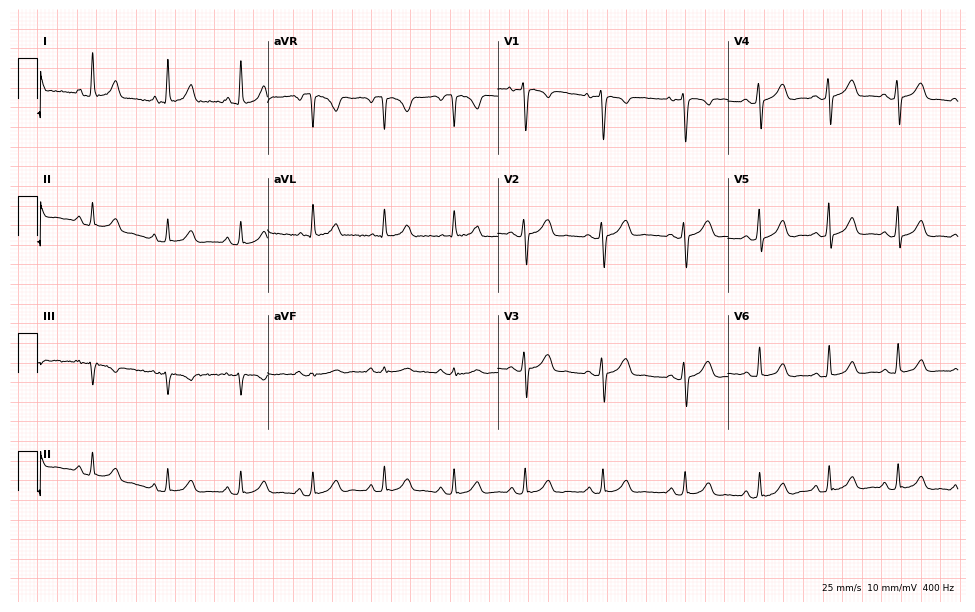
Standard 12-lead ECG recorded from a woman, 33 years old. Read as a normal ECG.